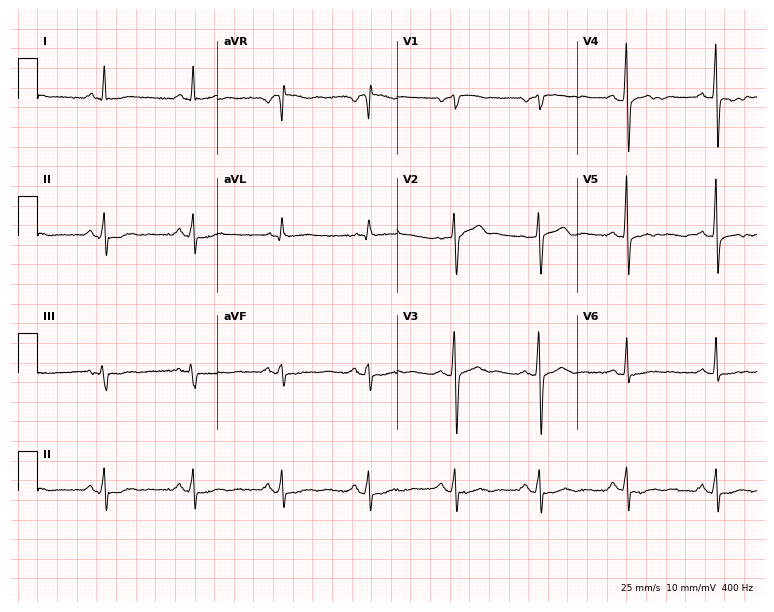
12-lead ECG from a 68-year-old man. Labelled as a normal ECG.